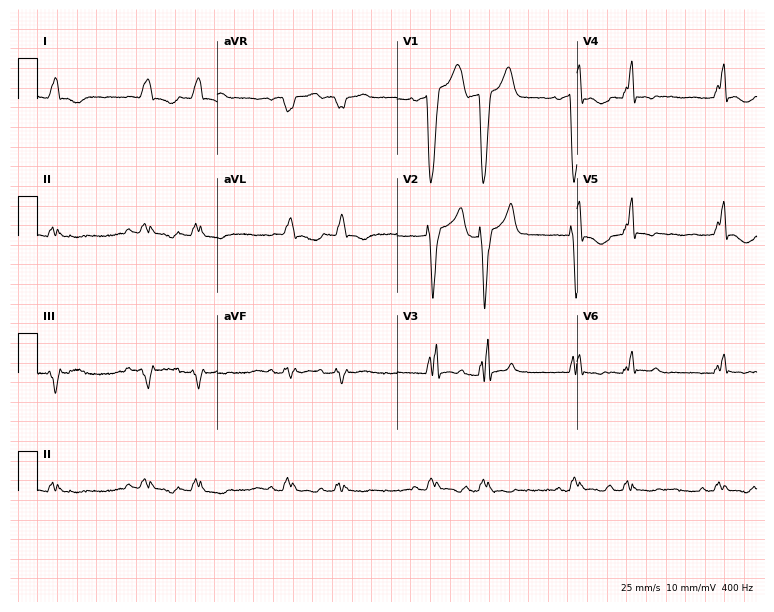
12-lead ECG (7.3-second recording at 400 Hz) from an 85-year-old male. Findings include left bundle branch block (LBBB).